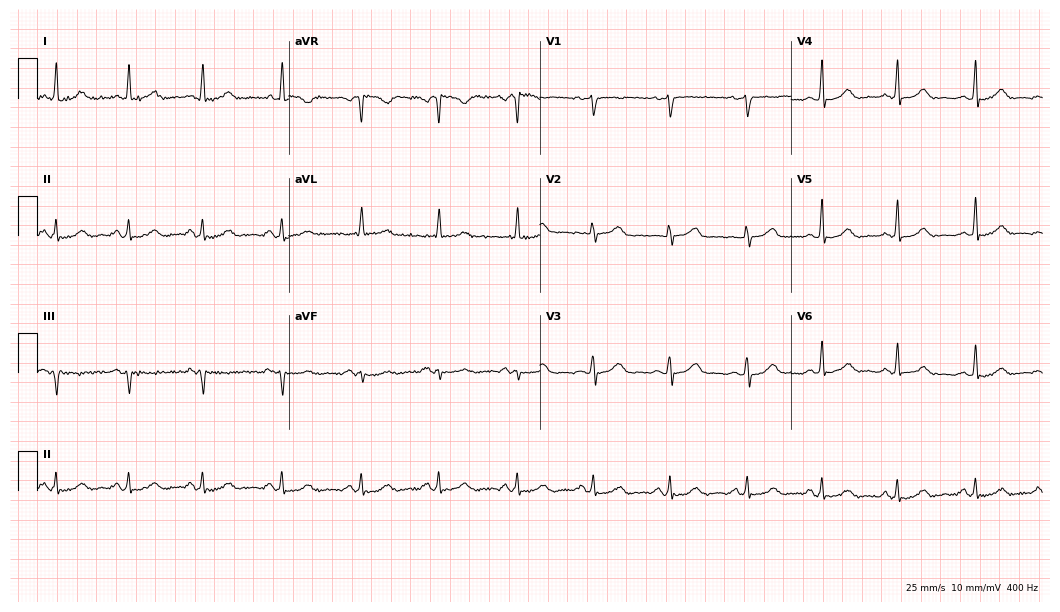
ECG — a 52-year-old female. Screened for six findings — first-degree AV block, right bundle branch block, left bundle branch block, sinus bradycardia, atrial fibrillation, sinus tachycardia — none is recorded.